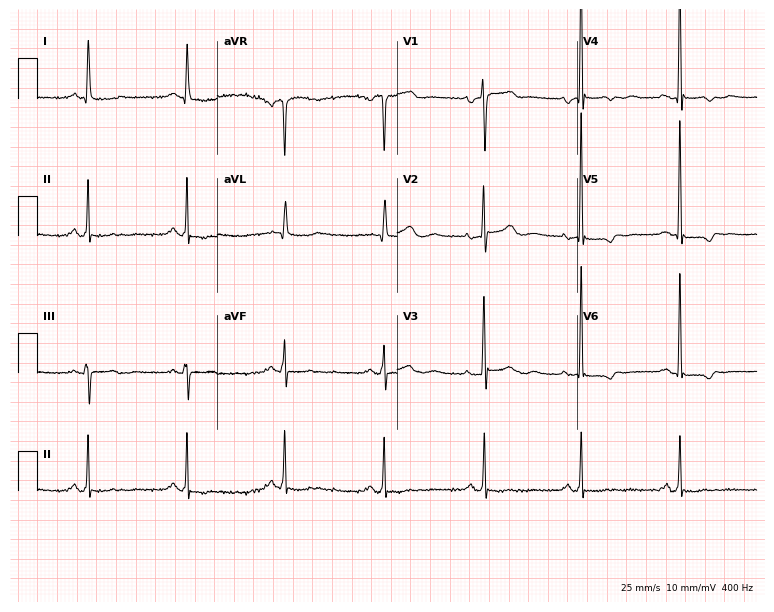
Electrocardiogram (7.3-second recording at 400 Hz), an 80-year-old female patient. Of the six screened findings (first-degree AV block, right bundle branch block, left bundle branch block, sinus bradycardia, atrial fibrillation, sinus tachycardia), none is recorded.